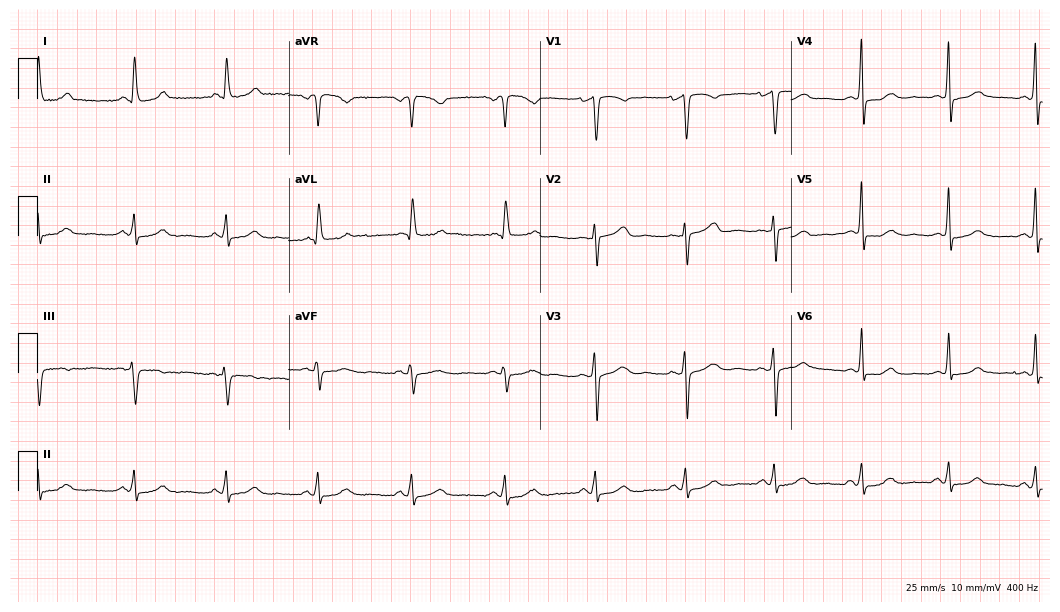
ECG — a 53-year-old woman. Labelled as a normal ECG.